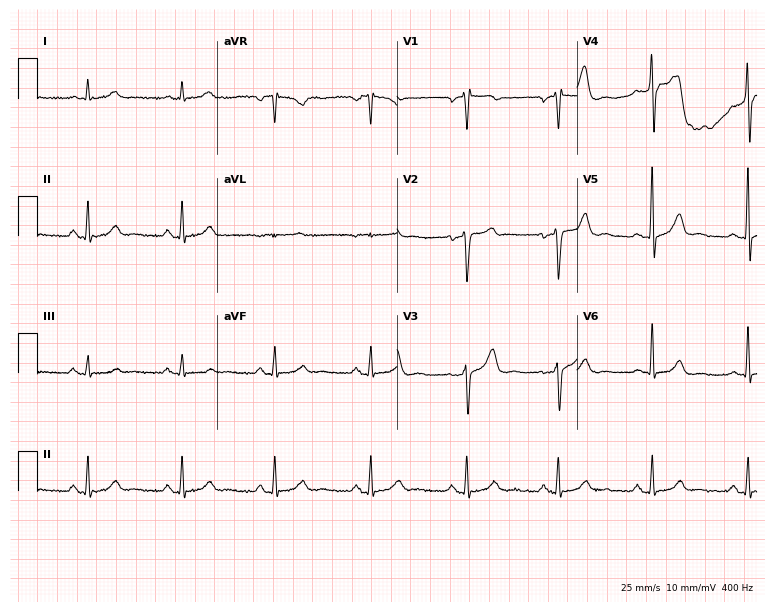
Resting 12-lead electrocardiogram. Patient: a 46-year-old male. Read as a normal ECG.